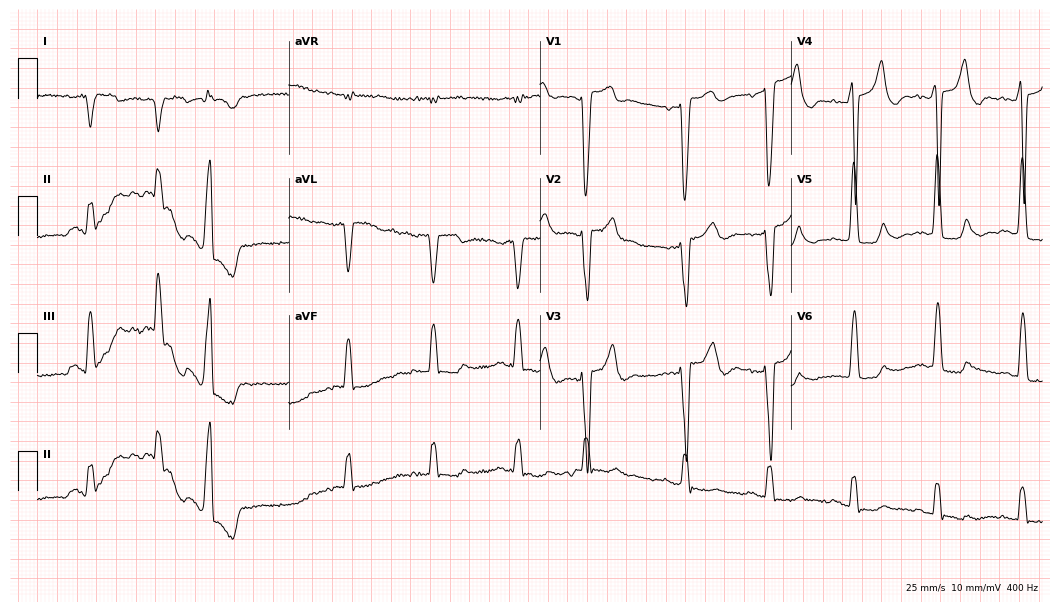
Resting 12-lead electrocardiogram (10.2-second recording at 400 Hz). Patient: an 80-year-old woman. None of these six findings is recorded: first-degree AV block, right bundle branch block, left bundle branch block, sinus bradycardia, atrial fibrillation, sinus tachycardia. Findings outside these six are not listed.